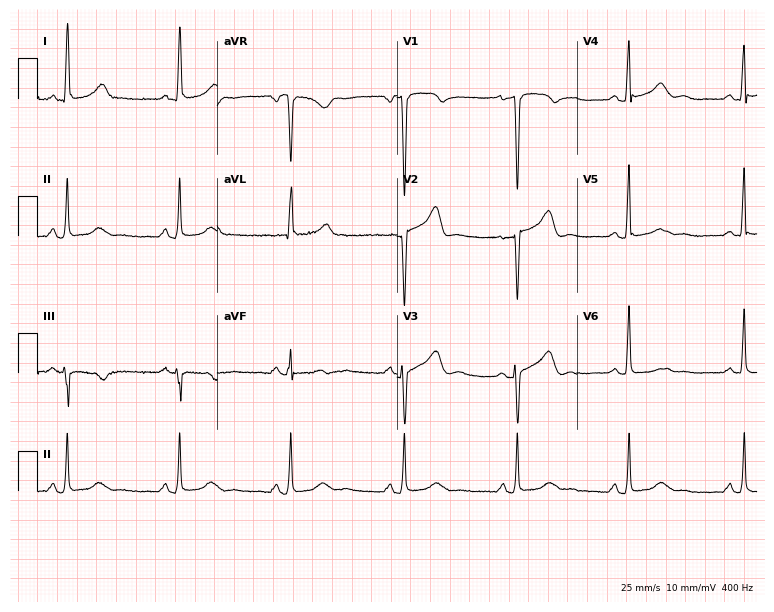
Resting 12-lead electrocardiogram. Patient: a female, 47 years old. None of these six findings is recorded: first-degree AV block, right bundle branch block (RBBB), left bundle branch block (LBBB), sinus bradycardia, atrial fibrillation (AF), sinus tachycardia.